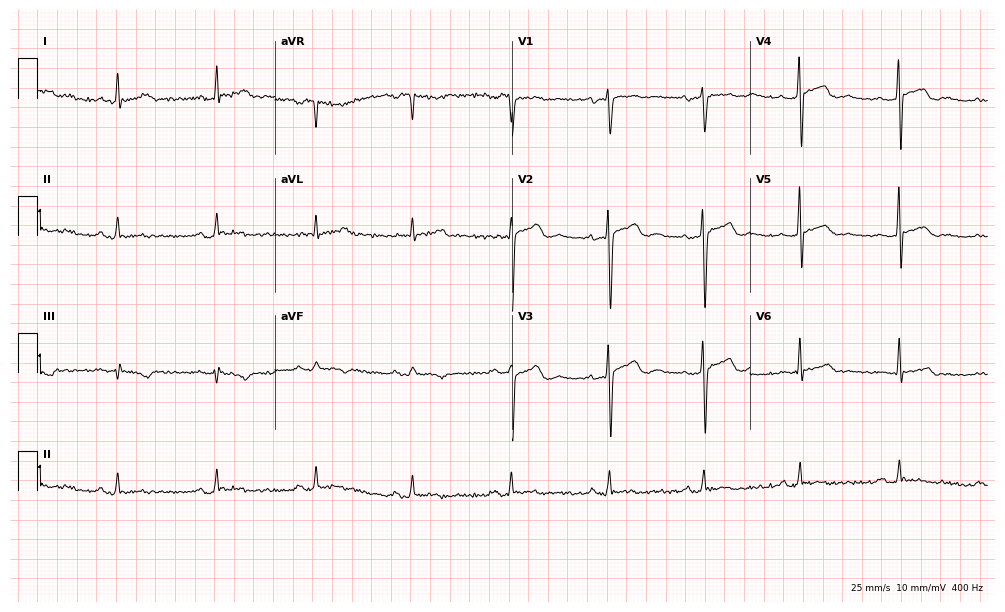
12-lead ECG from a 35-year-old man. Screened for six findings — first-degree AV block, right bundle branch block, left bundle branch block, sinus bradycardia, atrial fibrillation, sinus tachycardia — none is recorded.